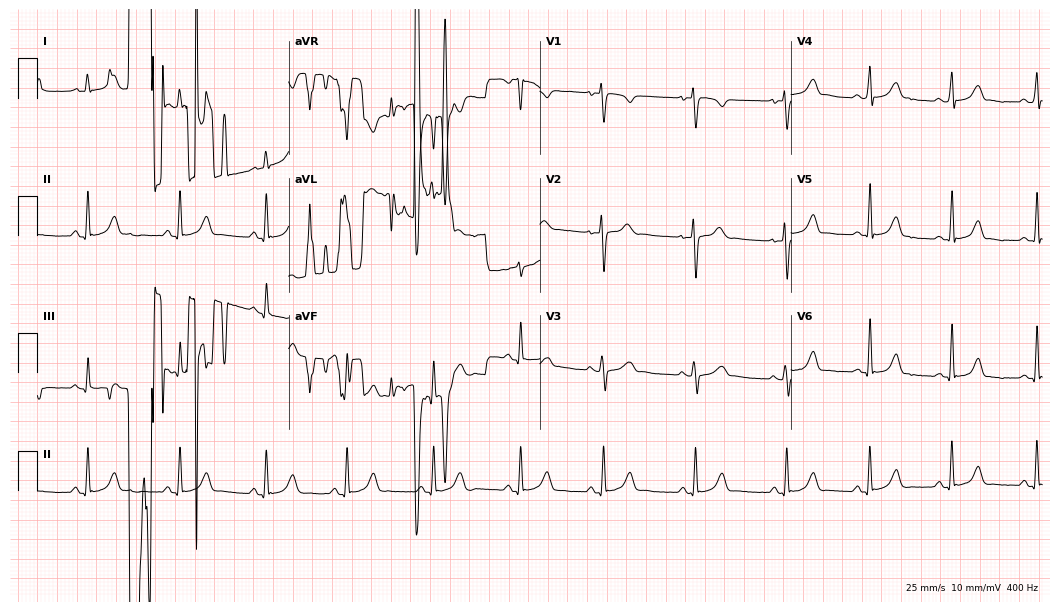
Resting 12-lead electrocardiogram. Patient: a female, 23 years old. None of these six findings is recorded: first-degree AV block, right bundle branch block, left bundle branch block, sinus bradycardia, atrial fibrillation, sinus tachycardia.